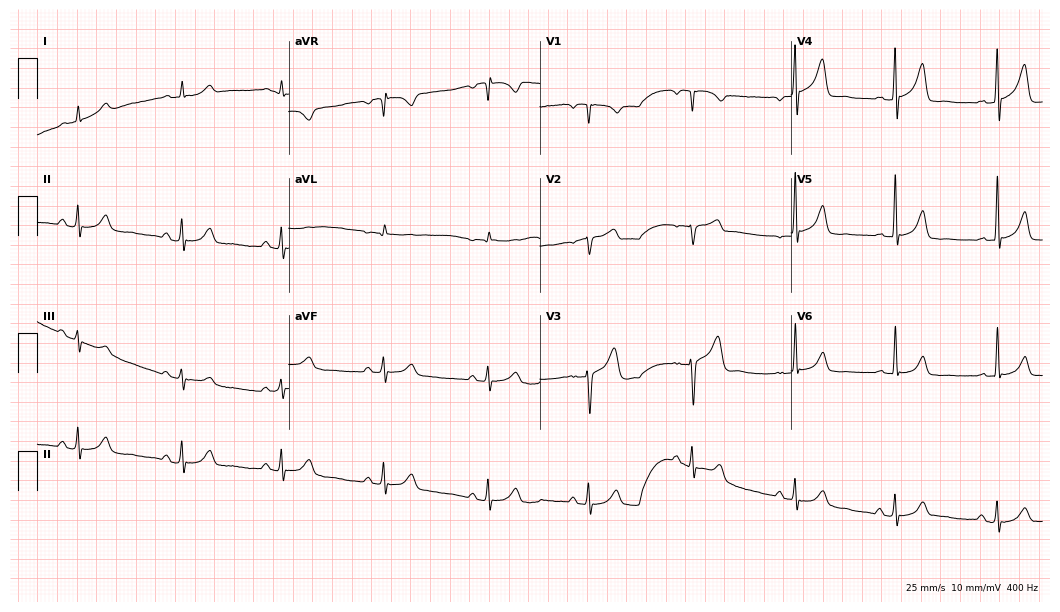
ECG (10.2-second recording at 400 Hz) — a 64-year-old man. Labelled as a normal ECG.